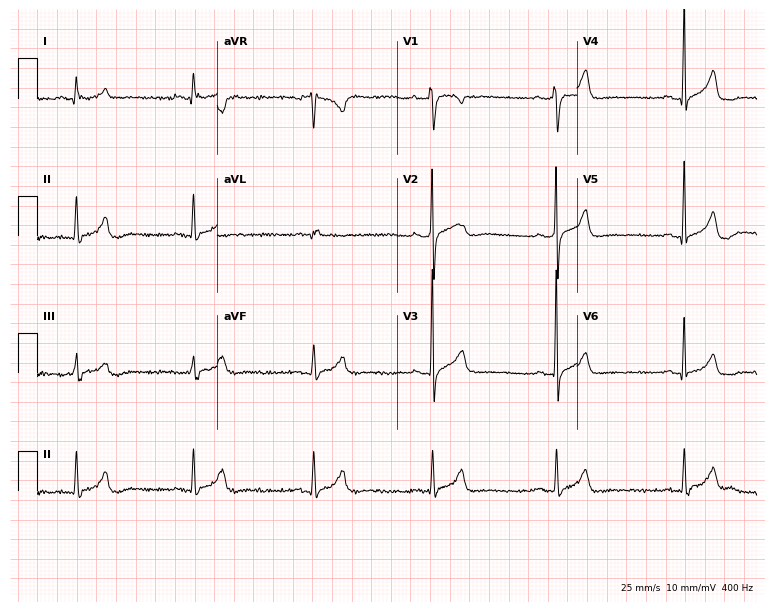
12-lead ECG from a man, 27 years old (7.3-second recording at 400 Hz). No first-degree AV block, right bundle branch block, left bundle branch block, sinus bradycardia, atrial fibrillation or sinus tachycardia recorded for this tracing. Findings outside these six are not listed.